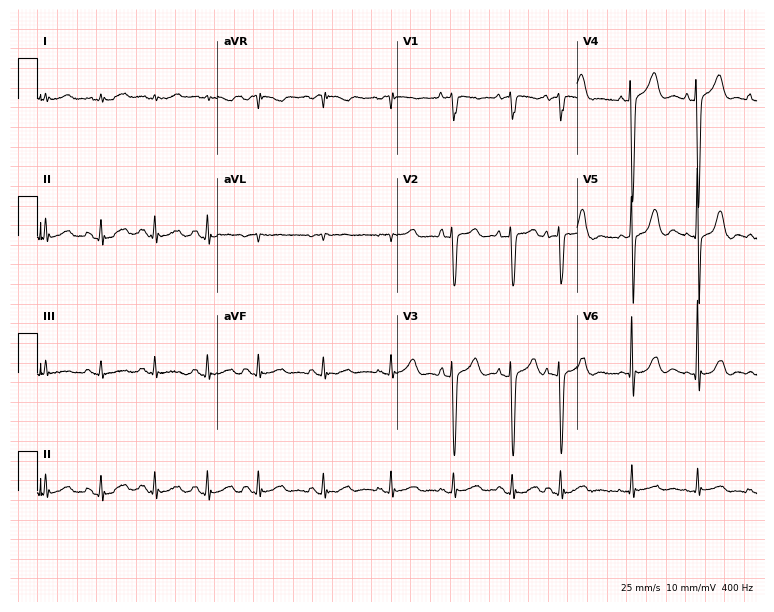
12-lead ECG from a 78-year-old man (7.3-second recording at 400 Hz). No first-degree AV block, right bundle branch block, left bundle branch block, sinus bradycardia, atrial fibrillation or sinus tachycardia recorded for this tracing. Findings outside these six are not listed.